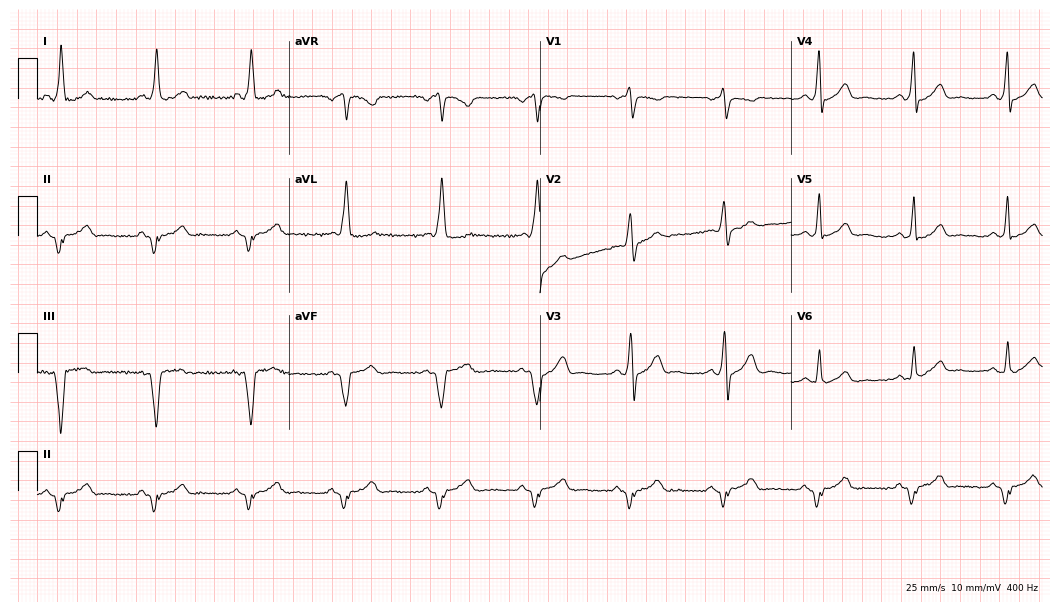
Standard 12-lead ECG recorded from a male patient, 50 years old. None of these six findings is recorded: first-degree AV block, right bundle branch block, left bundle branch block, sinus bradycardia, atrial fibrillation, sinus tachycardia. Other findings, if any, are not listed.